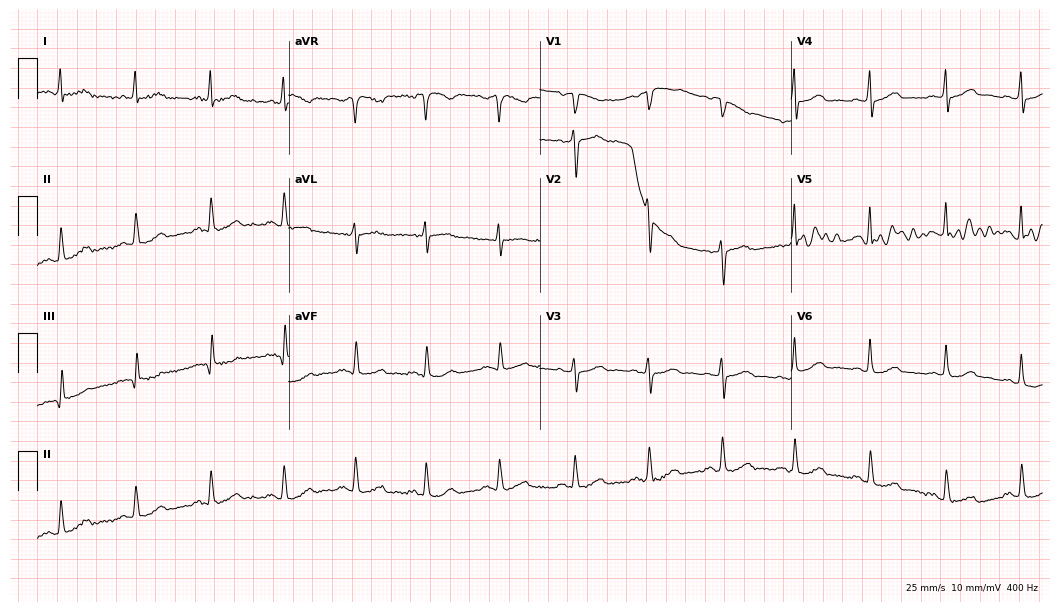
ECG — a woman, 63 years old. Screened for six findings — first-degree AV block, right bundle branch block (RBBB), left bundle branch block (LBBB), sinus bradycardia, atrial fibrillation (AF), sinus tachycardia — none is recorded. Only these six findings were labelled.